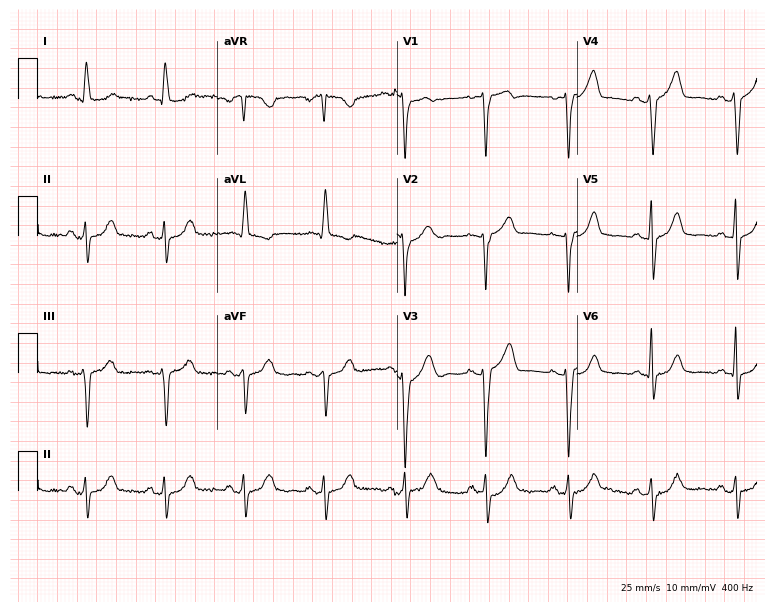
Standard 12-lead ECG recorded from a 66-year-old female. None of these six findings is recorded: first-degree AV block, right bundle branch block, left bundle branch block, sinus bradycardia, atrial fibrillation, sinus tachycardia. Findings outside these six are not listed.